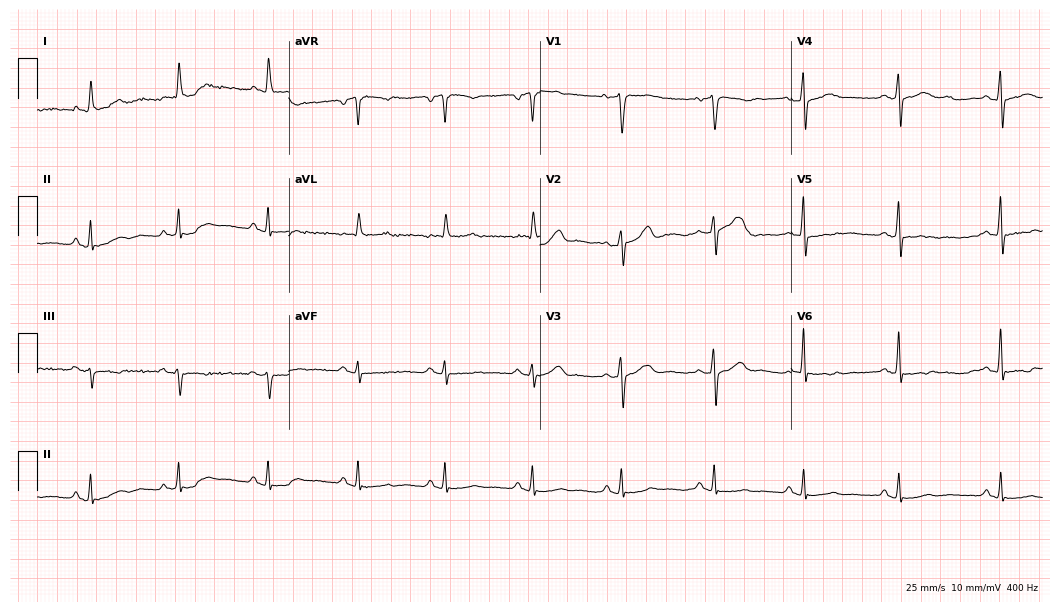
Standard 12-lead ECG recorded from a 75-year-old male. None of these six findings is recorded: first-degree AV block, right bundle branch block, left bundle branch block, sinus bradycardia, atrial fibrillation, sinus tachycardia.